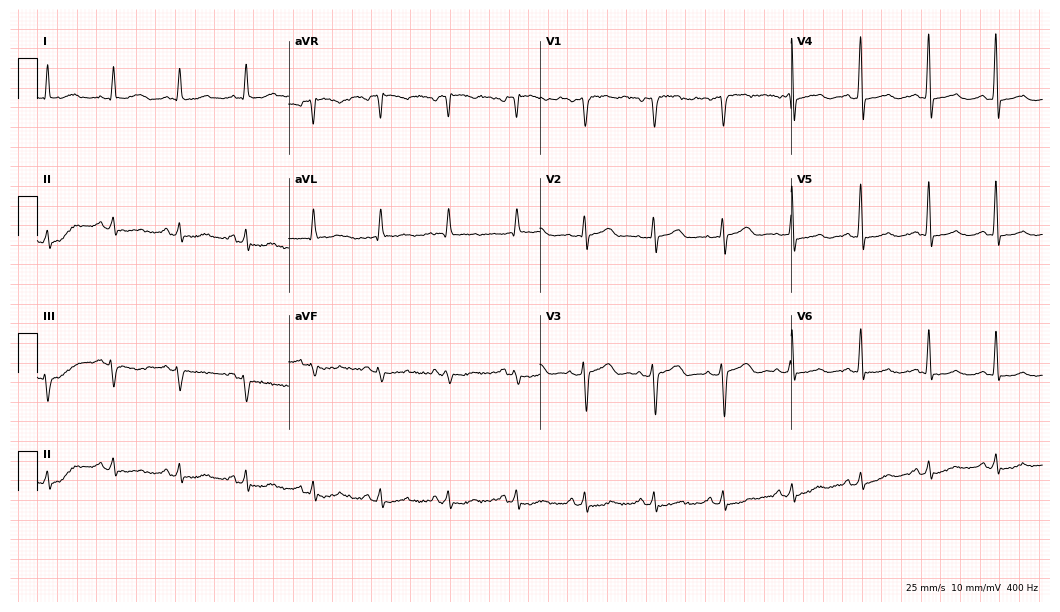
12-lead ECG from a man, 70 years old. Recorded interpretation: within normal limits.